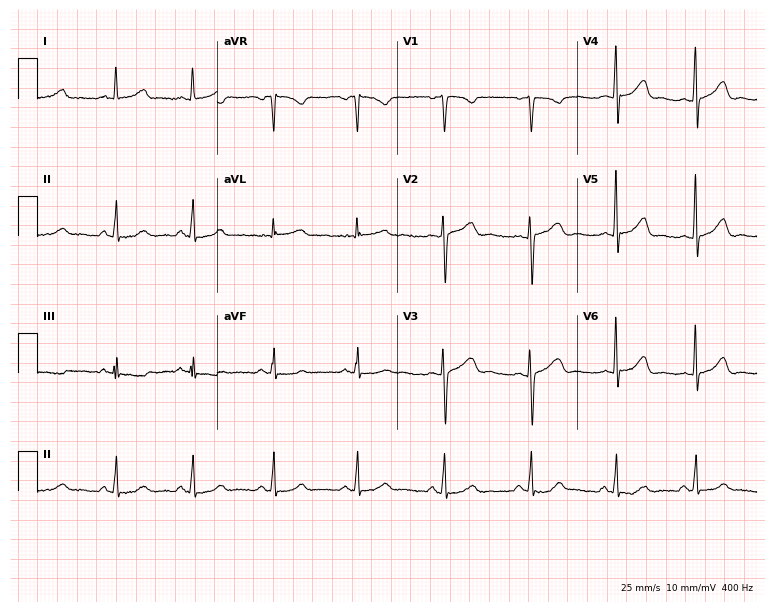
Standard 12-lead ECG recorded from a female, 24 years old (7.3-second recording at 400 Hz). Read as a normal ECG.